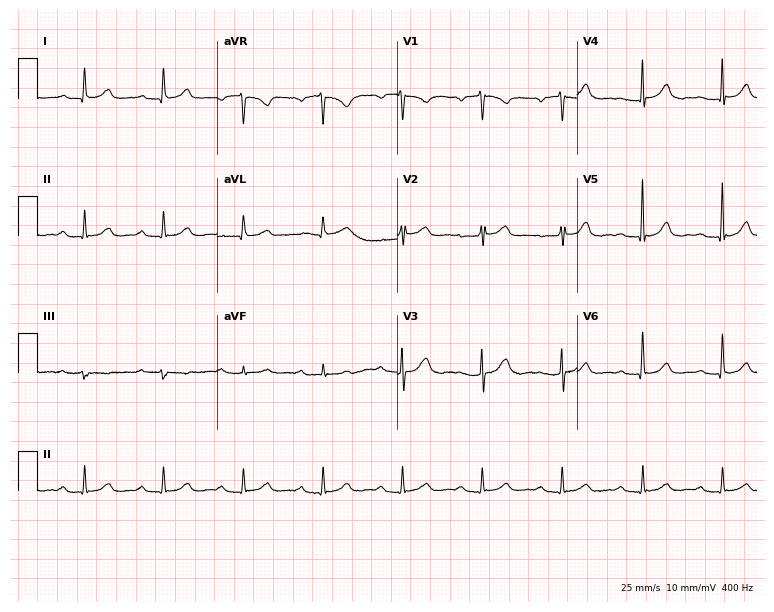
ECG — a 76-year-old male. Findings include first-degree AV block.